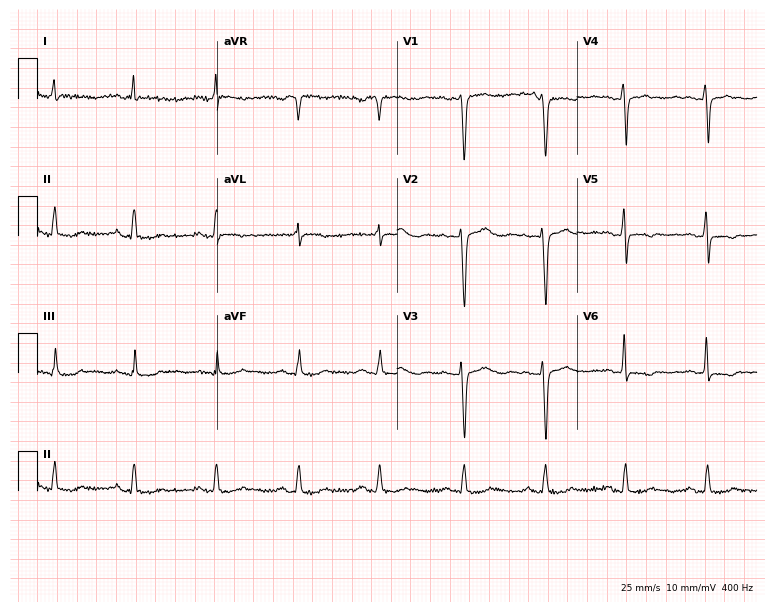
ECG — a 54-year-old female patient. Screened for six findings — first-degree AV block, right bundle branch block, left bundle branch block, sinus bradycardia, atrial fibrillation, sinus tachycardia — none is recorded. Other findings, if any, are not listed.